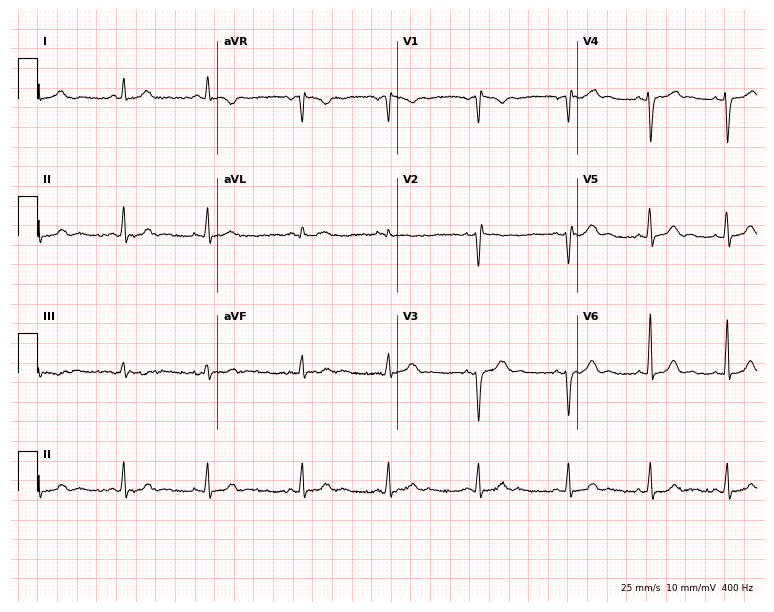
12-lead ECG from a woman, 22 years old. Labelled as a normal ECG.